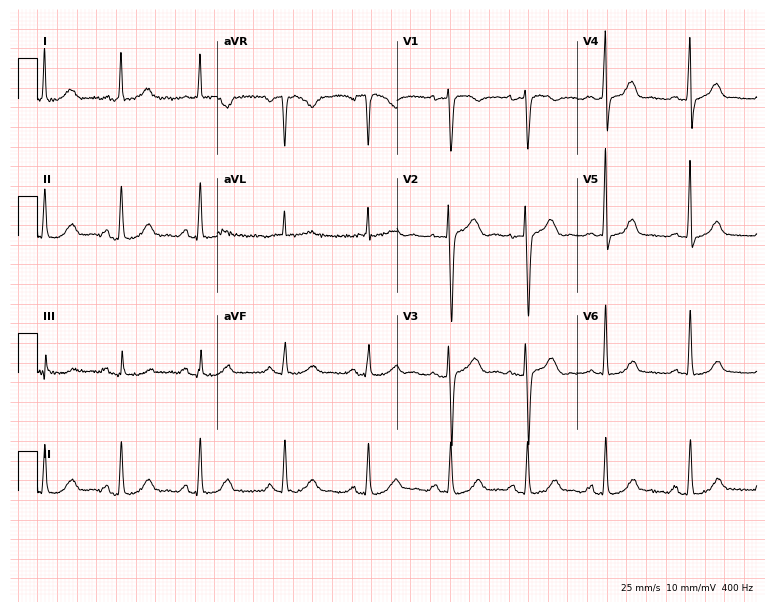
Resting 12-lead electrocardiogram (7.3-second recording at 400 Hz). Patient: a female, 56 years old. Read as a normal ECG.